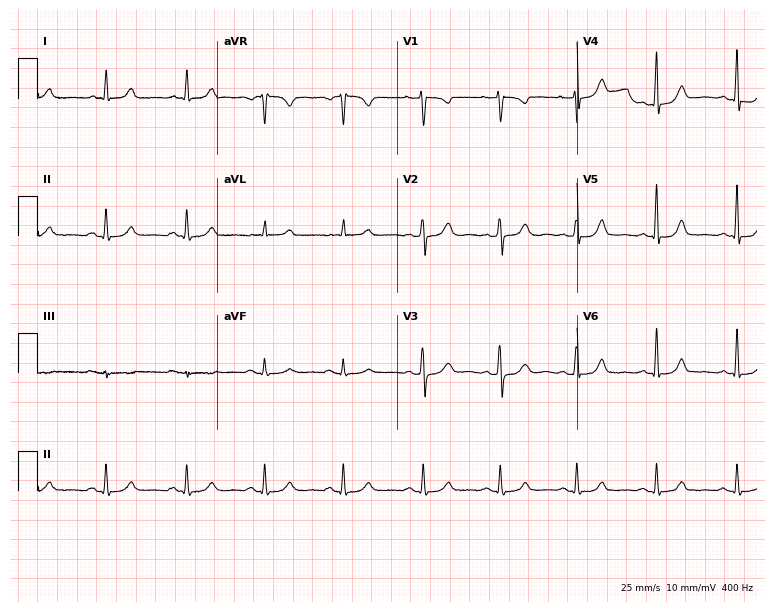
Standard 12-lead ECG recorded from a 42-year-old female patient (7.3-second recording at 400 Hz). Read as a normal ECG.